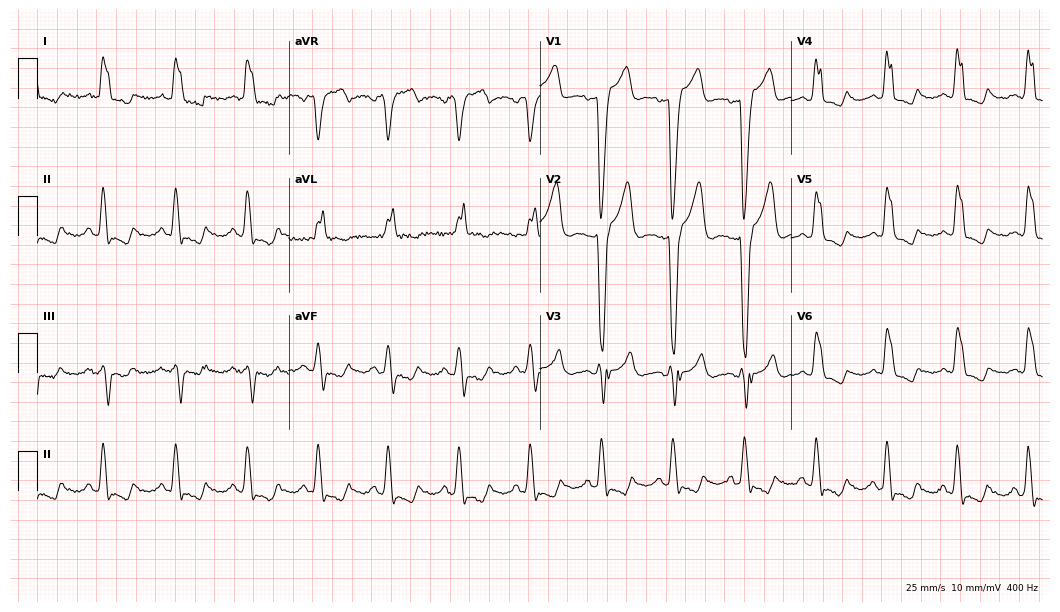
12-lead ECG from a female patient, 63 years old. Shows left bundle branch block.